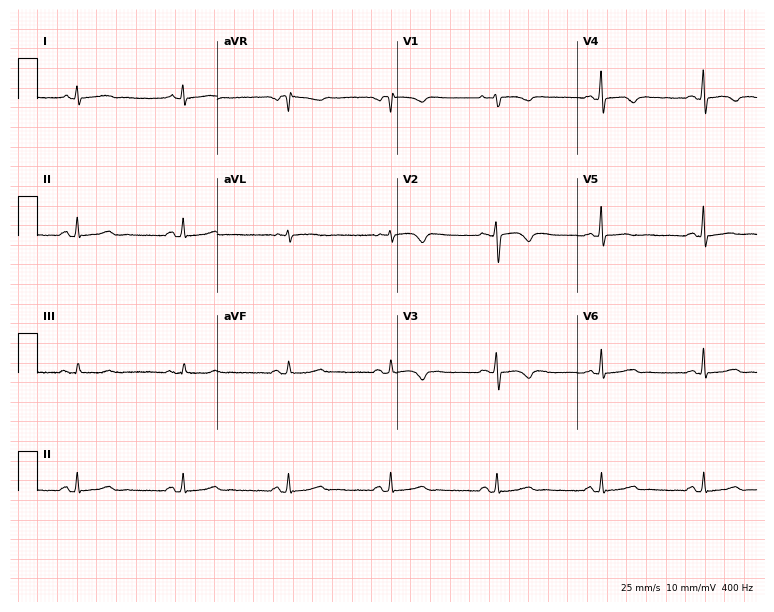
12-lead ECG (7.3-second recording at 400 Hz) from a female patient, 31 years old. Screened for six findings — first-degree AV block, right bundle branch block (RBBB), left bundle branch block (LBBB), sinus bradycardia, atrial fibrillation (AF), sinus tachycardia — none is recorded.